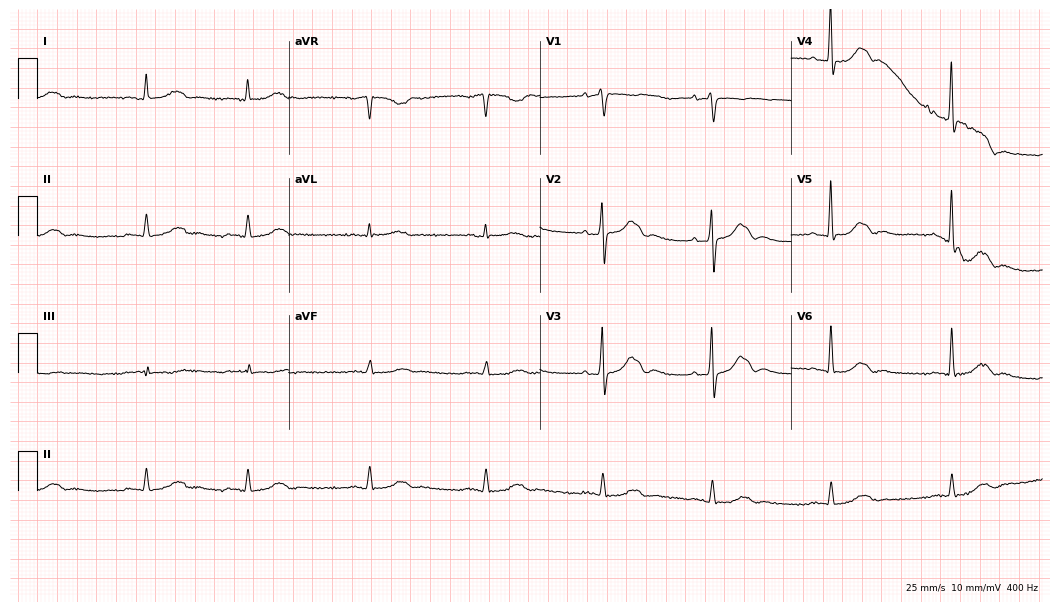
12-lead ECG from a female, 71 years old. Labelled as a normal ECG.